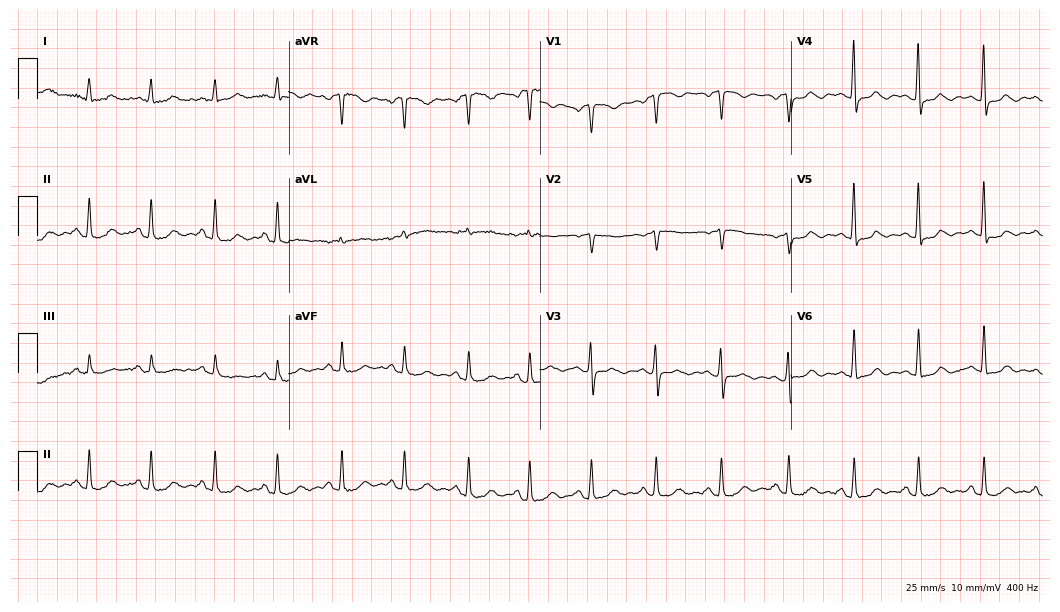
Resting 12-lead electrocardiogram. Patient: a female, 46 years old. None of these six findings is recorded: first-degree AV block, right bundle branch block, left bundle branch block, sinus bradycardia, atrial fibrillation, sinus tachycardia.